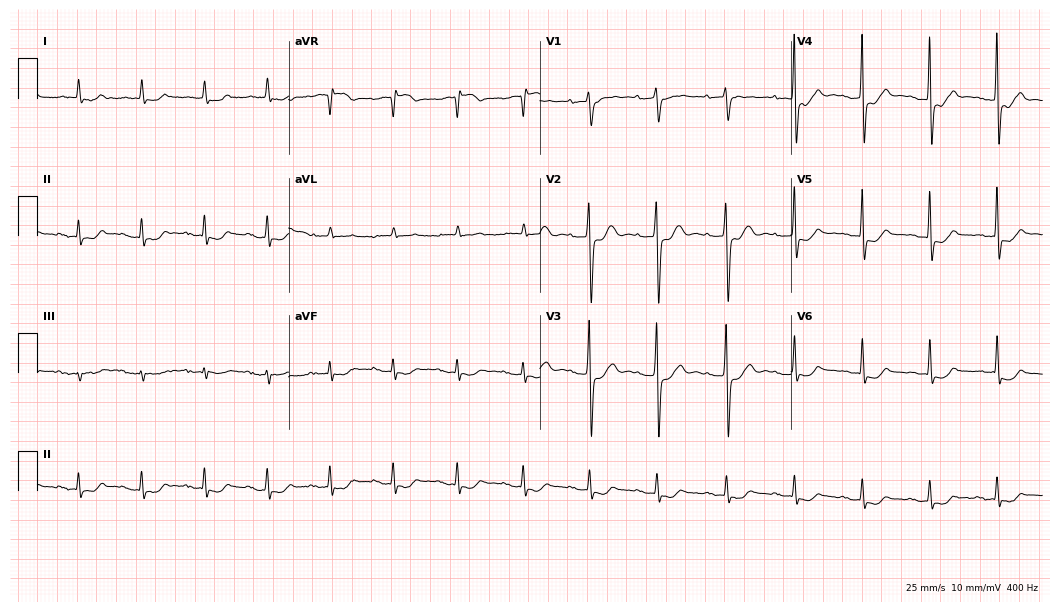
ECG — a 74-year-old female patient. Screened for six findings — first-degree AV block, right bundle branch block, left bundle branch block, sinus bradycardia, atrial fibrillation, sinus tachycardia — none is recorded. Only these six findings were labelled.